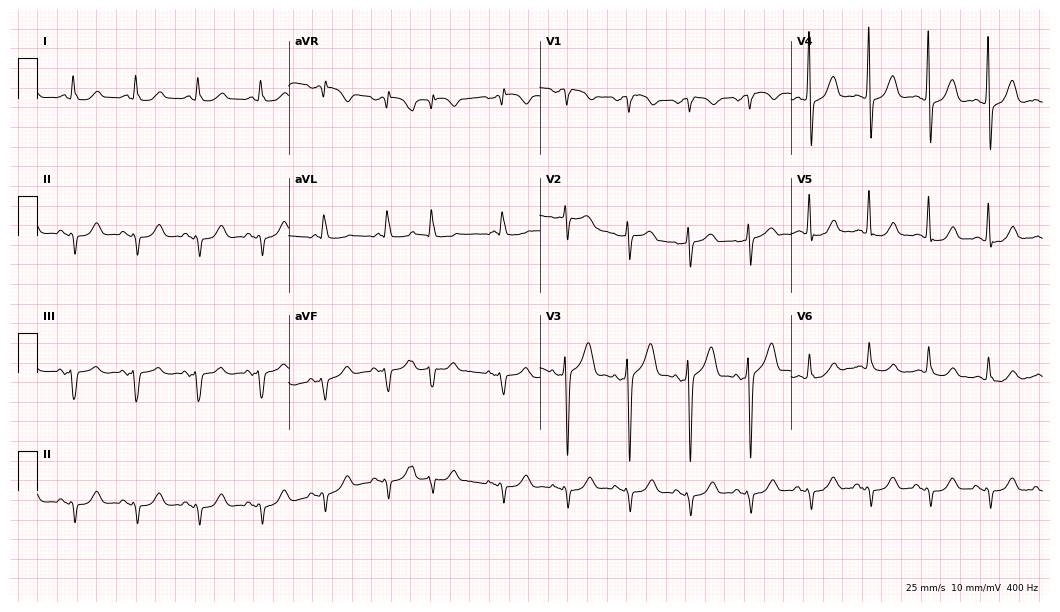
Standard 12-lead ECG recorded from a male, 64 years old (10.2-second recording at 400 Hz). None of these six findings is recorded: first-degree AV block, right bundle branch block (RBBB), left bundle branch block (LBBB), sinus bradycardia, atrial fibrillation (AF), sinus tachycardia. Only these six findings were labelled.